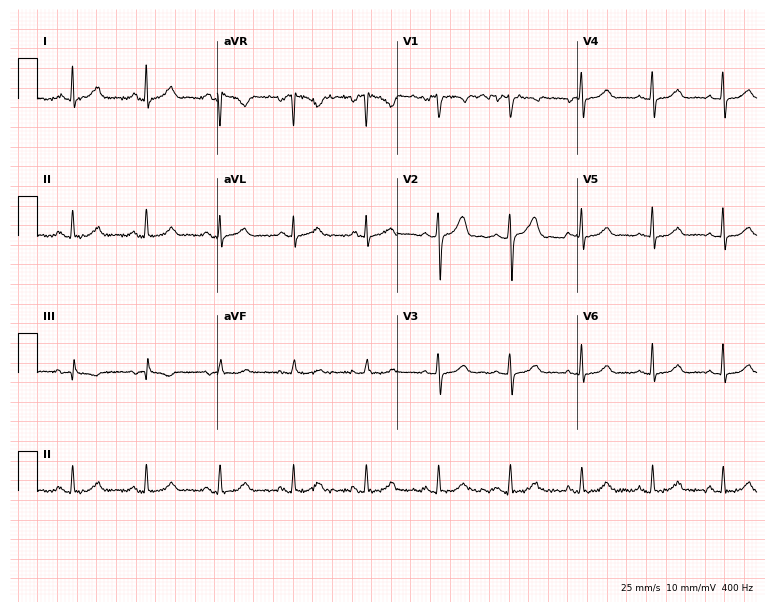
12-lead ECG from a 41-year-old female patient. Labelled as a normal ECG.